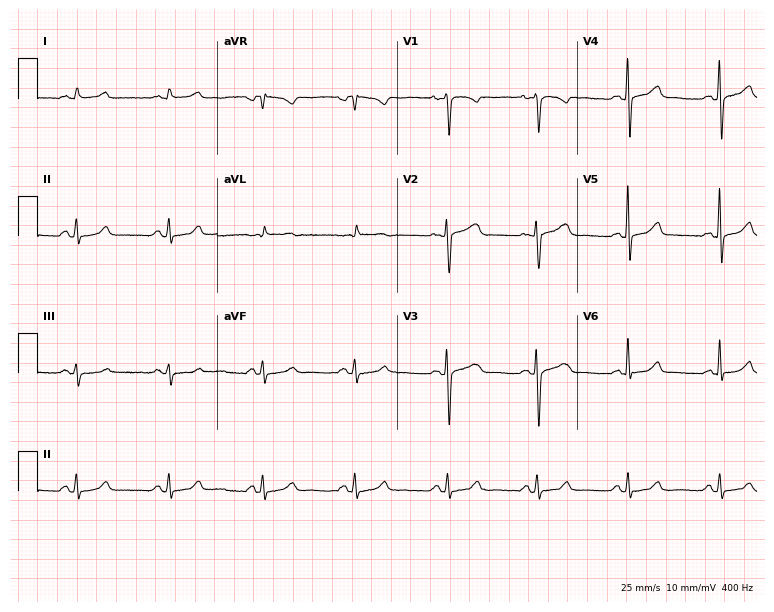
ECG — a female, 54 years old. Labelled as a normal ECG.